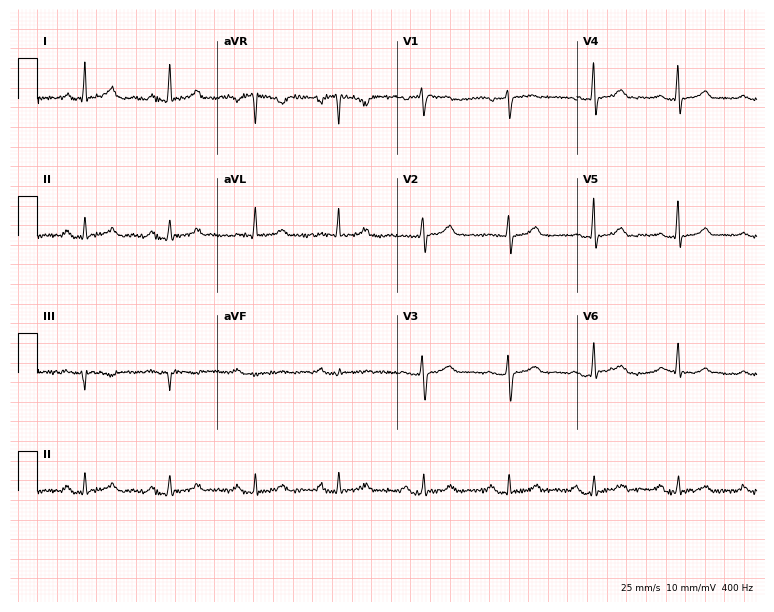
ECG — a woman, 55 years old. Labelled as a normal ECG.